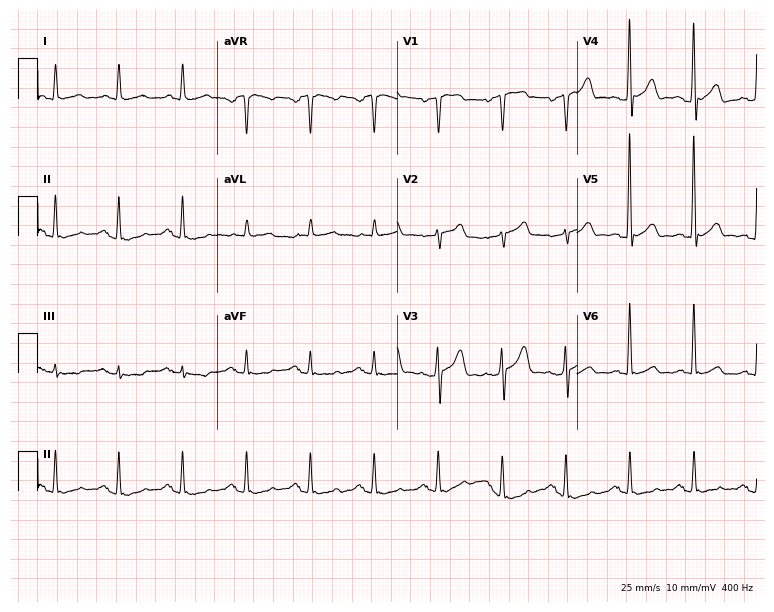
ECG — a 76-year-old male patient. Screened for six findings — first-degree AV block, right bundle branch block, left bundle branch block, sinus bradycardia, atrial fibrillation, sinus tachycardia — none is recorded. Only these six findings were labelled.